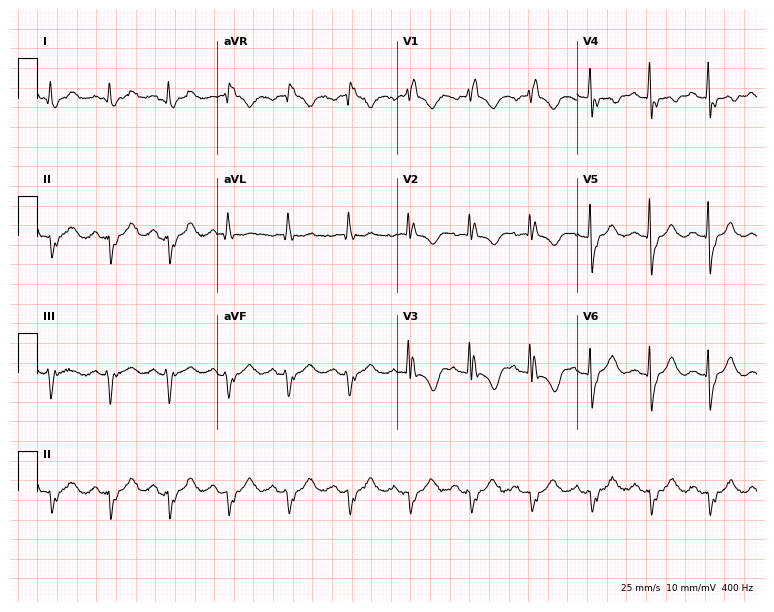
12-lead ECG (7.3-second recording at 400 Hz) from a female, 64 years old. Findings include right bundle branch block.